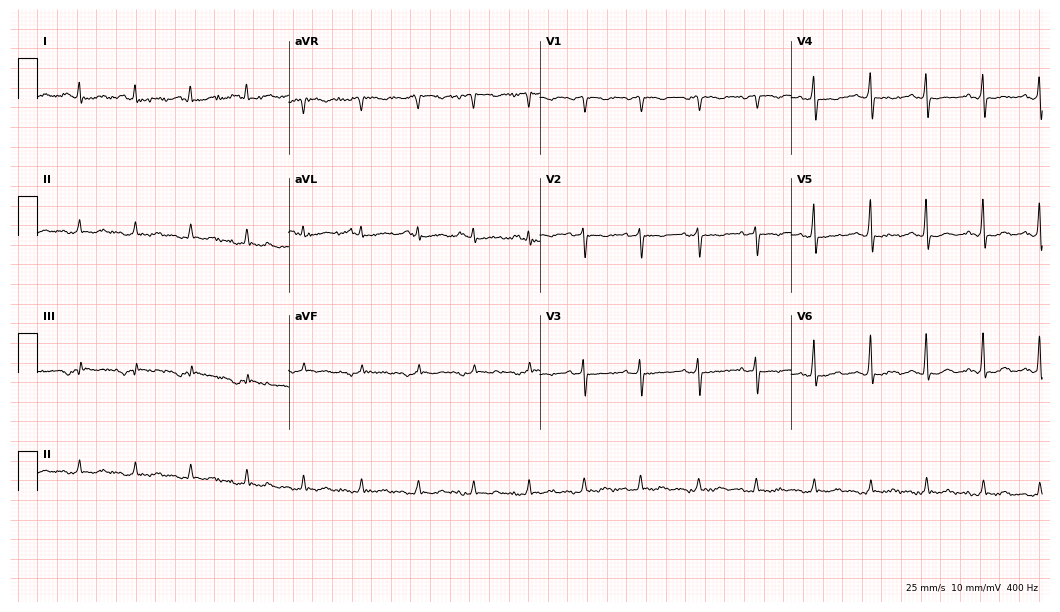
12-lead ECG from a 78-year-old woman. Screened for six findings — first-degree AV block, right bundle branch block, left bundle branch block, sinus bradycardia, atrial fibrillation, sinus tachycardia — none is recorded.